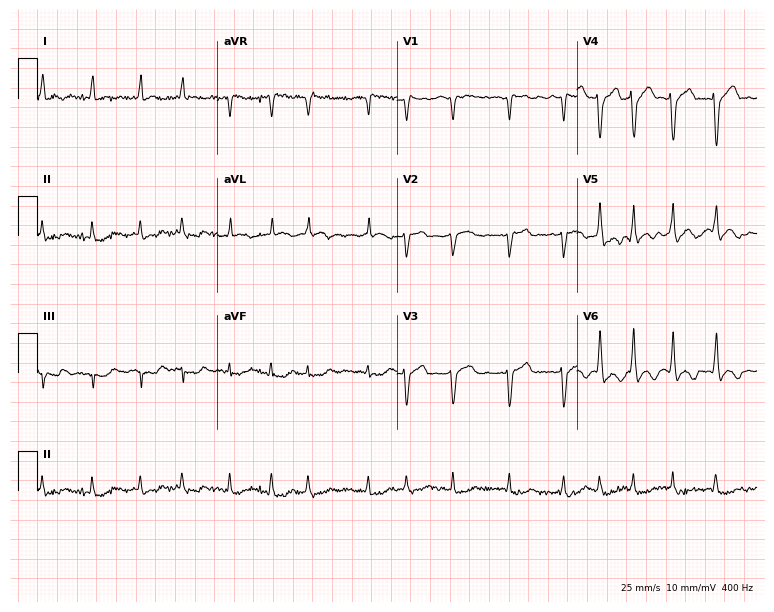
Electrocardiogram (7.3-second recording at 400 Hz), a 69-year-old man. Interpretation includes atrial fibrillation.